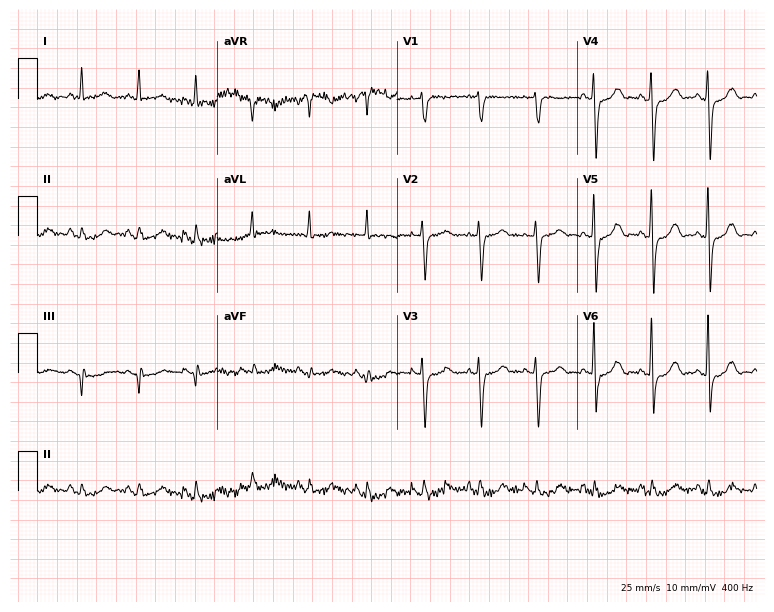
12-lead ECG from a female, 71 years old. No first-degree AV block, right bundle branch block, left bundle branch block, sinus bradycardia, atrial fibrillation or sinus tachycardia recorded for this tracing. Other findings, if any, are not listed.